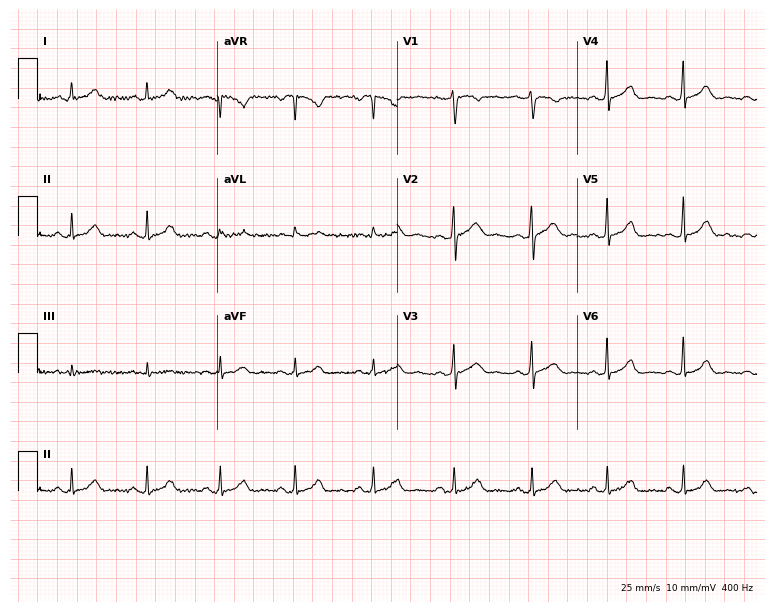
Electrocardiogram (7.3-second recording at 400 Hz), a 30-year-old female patient. Overall reading on record: normal ECG.